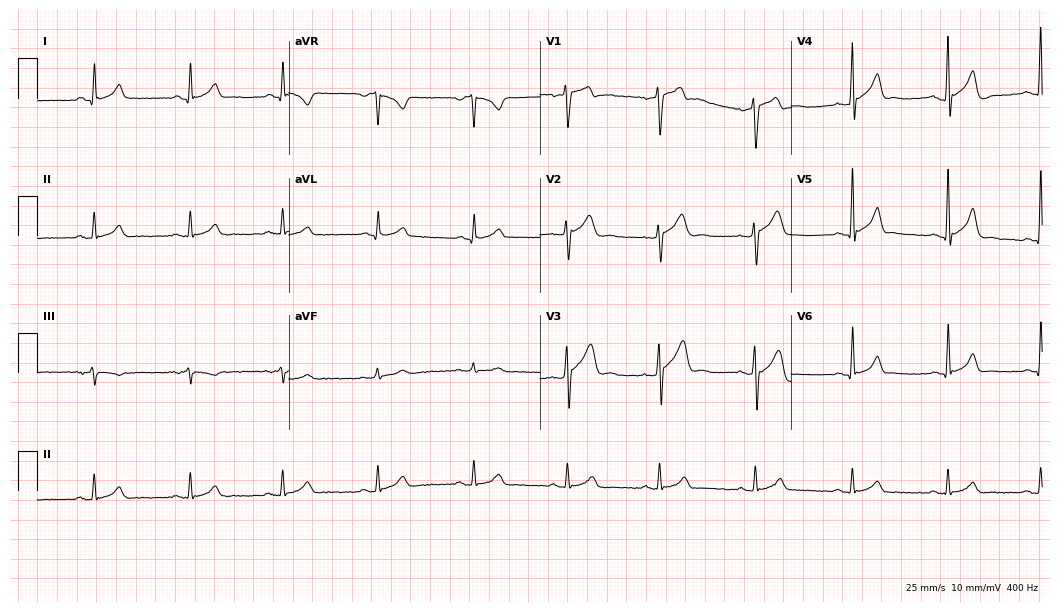
Resting 12-lead electrocardiogram (10.2-second recording at 400 Hz). Patient: a 26-year-old man. Read as a normal ECG.